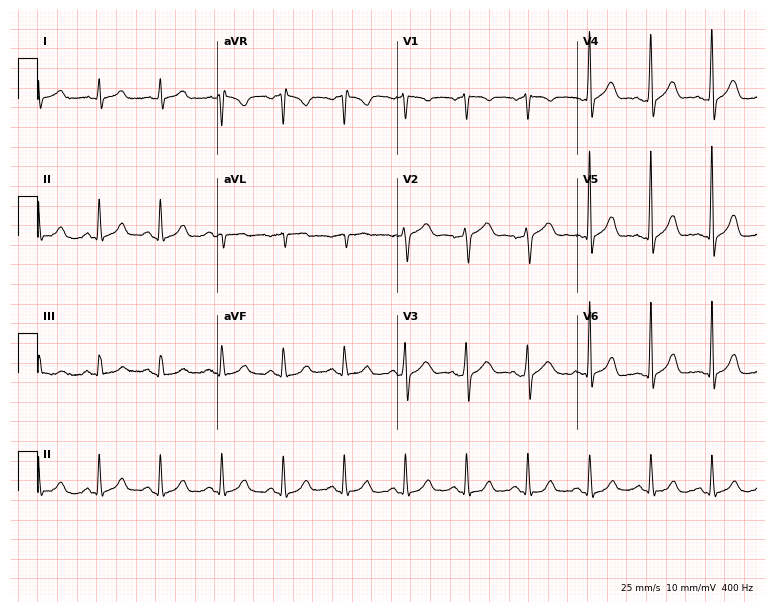
12-lead ECG from a 61-year-old male patient. No first-degree AV block, right bundle branch block, left bundle branch block, sinus bradycardia, atrial fibrillation or sinus tachycardia recorded for this tracing.